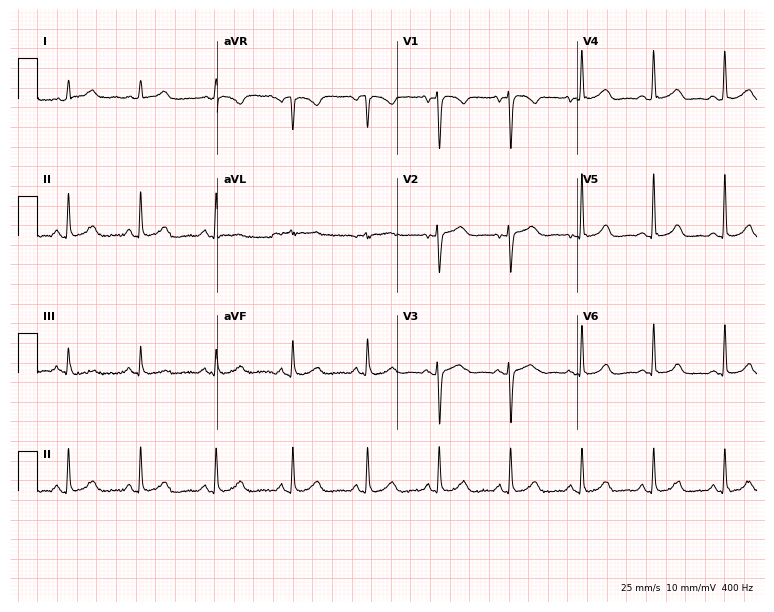
12-lead ECG (7.3-second recording at 400 Hz) from a woman, 52 years old. Labelled as a normal ECG.